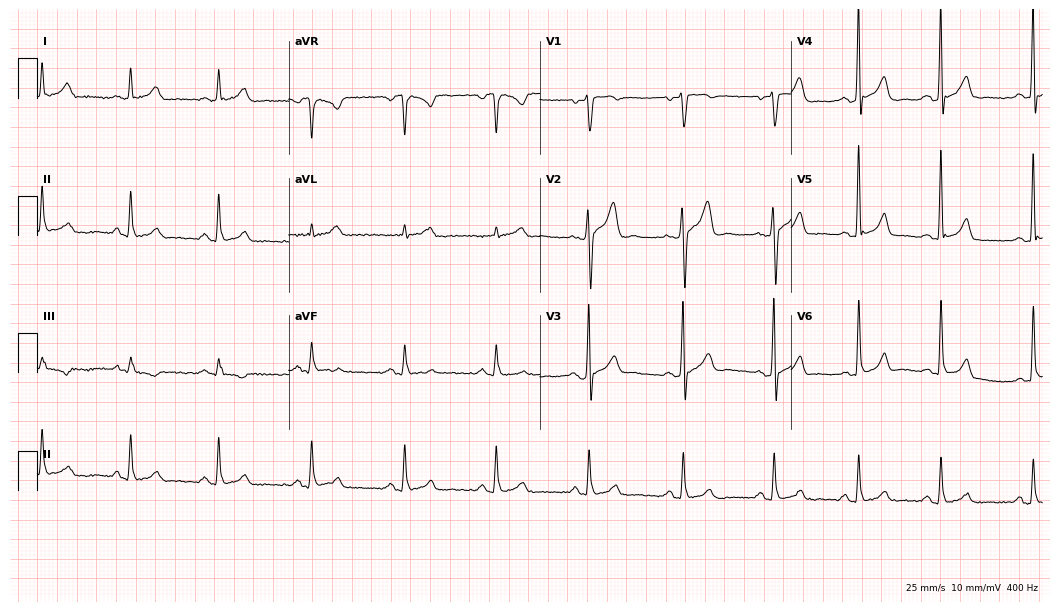
Electrocardiogram, a male, 39 years old. Overall reading on record: normal ECG.